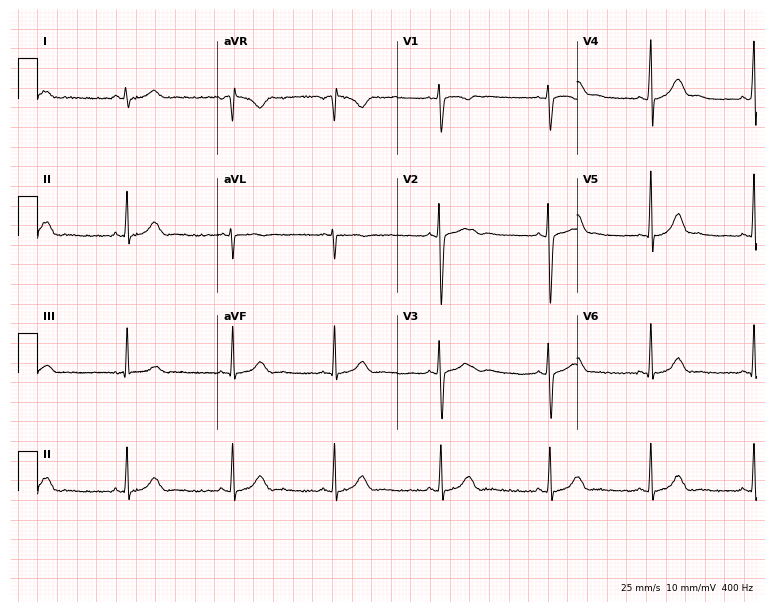
Resting 12-lead electrocardiogram (7.3-second recording at 400 Hz). Patient: a female, 19 years old. None of these six findings is recorded: first-degree AV block, right bundle branch block, left bundle branch block, sinus bradycardia, atrial fibrillation, sinus tachycardia. Findings outside these six are not listed.